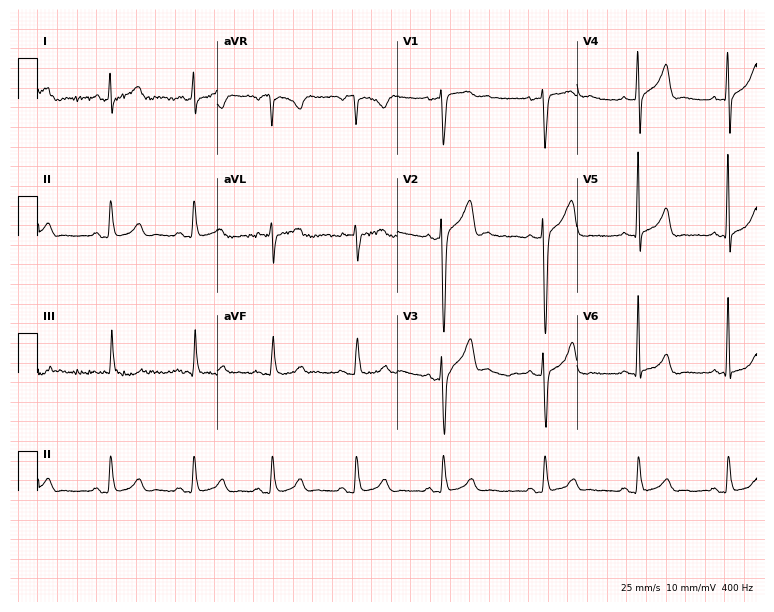
12-lead ECG from a male patient, 31 years old. Labelled as a normal ECG.